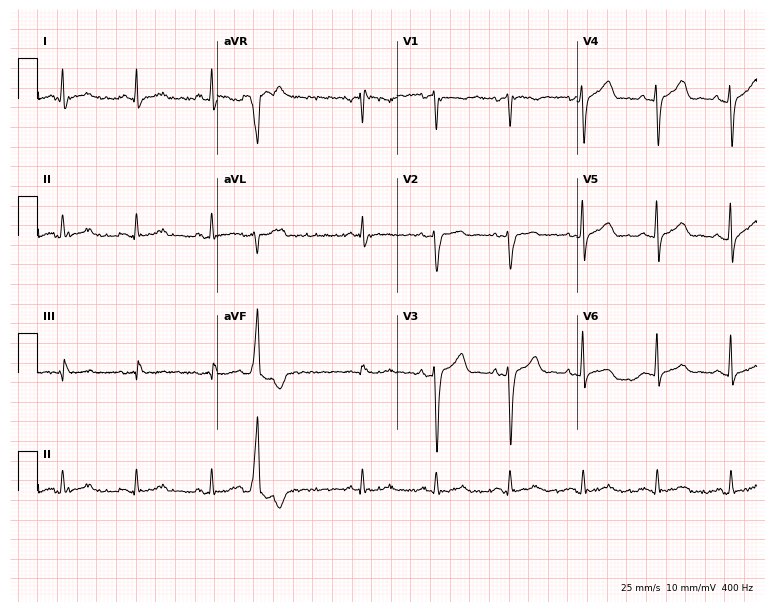
12-lead ECG from a 46-year-old male patient. Screened for six findings — first-degree AV block, right bundle branch block (RBBB), left bundle branch block (LBBB), sinus bradycardia, atrial fibrillation (AF), sinus tachycardia — none is recorded.